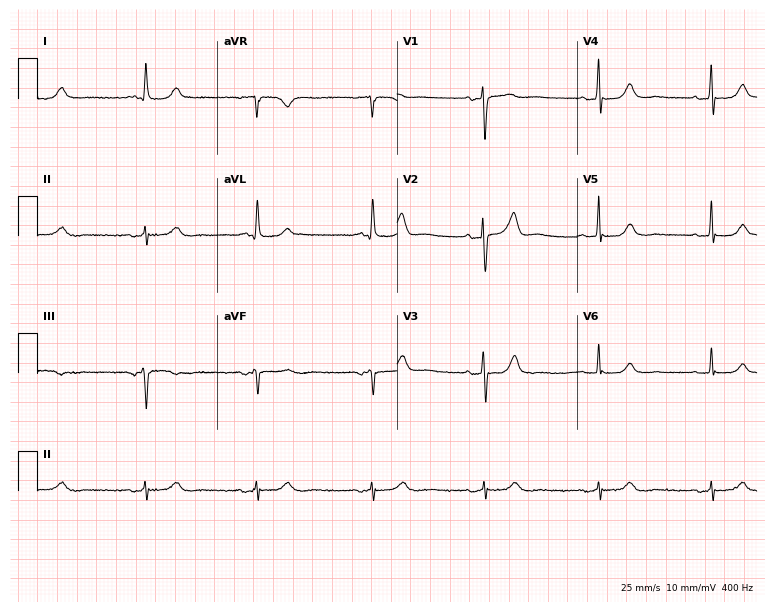
ECG (7.3-second recording at 400 Hz) — a woman, 83 years old. Screened for six findings — first-degree AV block, right bundle branch block, left bundle branch block, sinus bradycardia, atrial fibrillation, sinus tachycardia — none is recorded. Only these six findings were labelled.